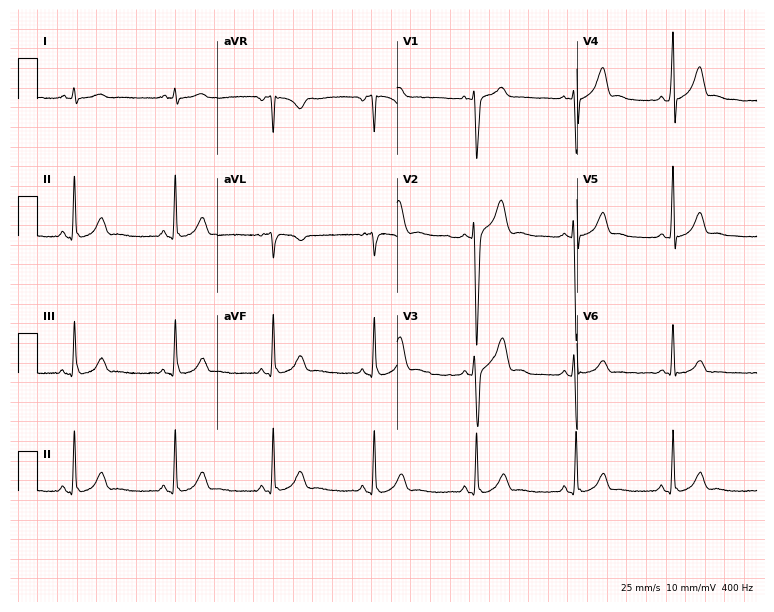
Standard 12-lead ECG recorded from a man, 26 years old. Read as a normal ECG.